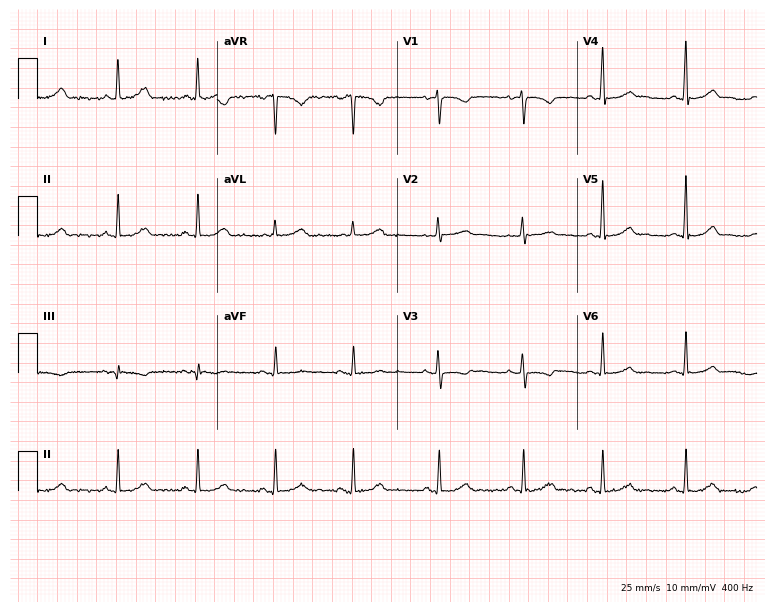
ECG (7.3-second recording at 400 Hz) — a 35-year-old female. Screened for six findings — first-degree AV block, right bundle branch block (RBBB), left bundle branch block (LBBB), sinus bradycardia, atrial fibrillation (AF), sinus tachycardia — none is recorded. Only these six findings were labelled.